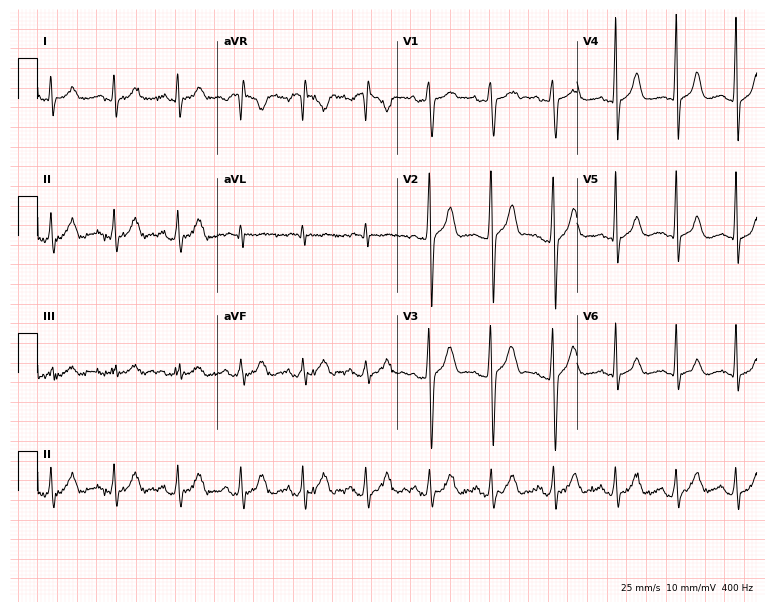
Standard 12-lead ECG recorded from a male patient, 21 years old. Read as a normal ECG.